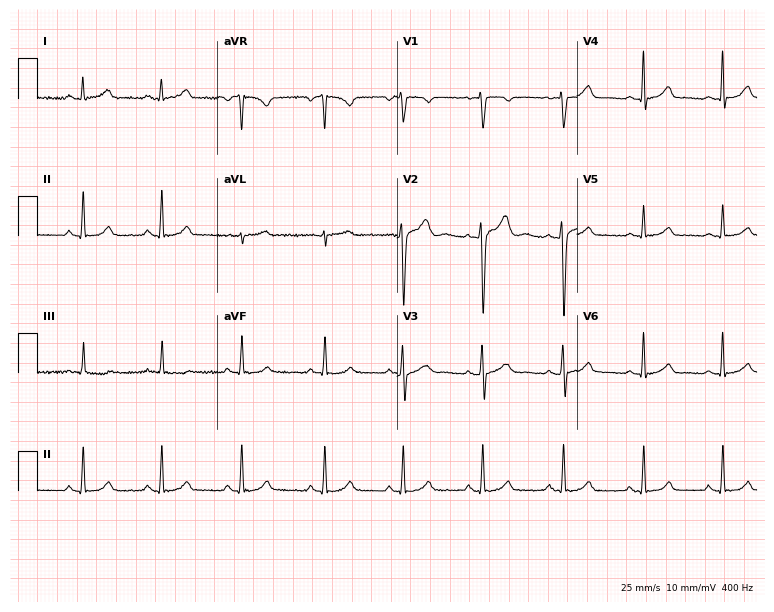
Standard 12-lead ECG recorded from a 38-year-old woman (7.3-second recording at 400 Hz). None of these six findings is recorded: first-degree AV block, right bundle branch block, left bundle branch block, sinus bradycardia, atrial fibrillation, sinus tachycardia.